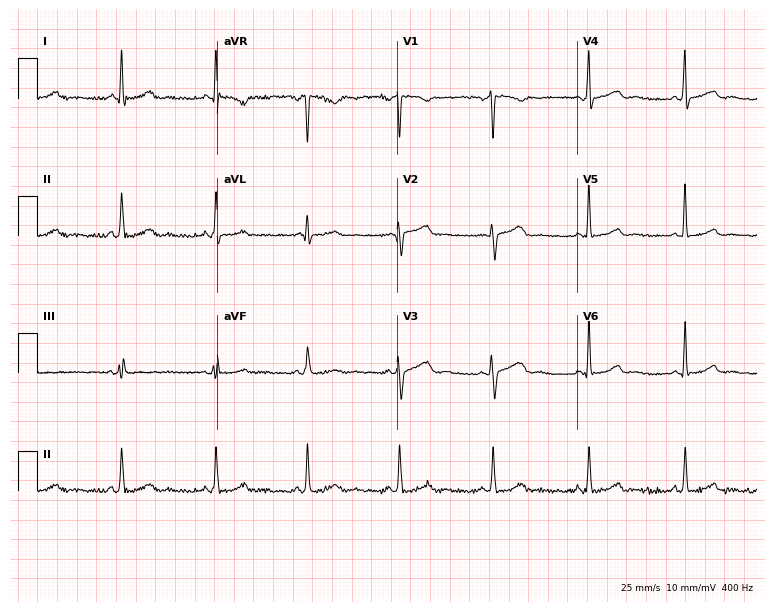
12-lead ECG from a woman, 54 years old. Recorded interpretation: within normal limits.